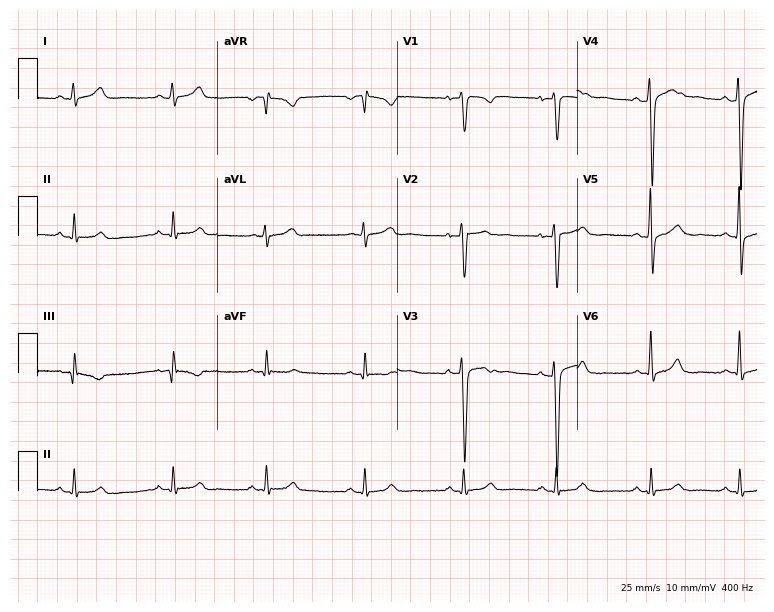
Electrocardiogram (7.3-second recording at 400 Hz), a 41-year-old male patient. Of the six screened findings (first-degree AV block, right bundle branch block, left bundle branch block, sinus bradycardia, atrial fibrillation, sinus tachycardia), none is recorded.